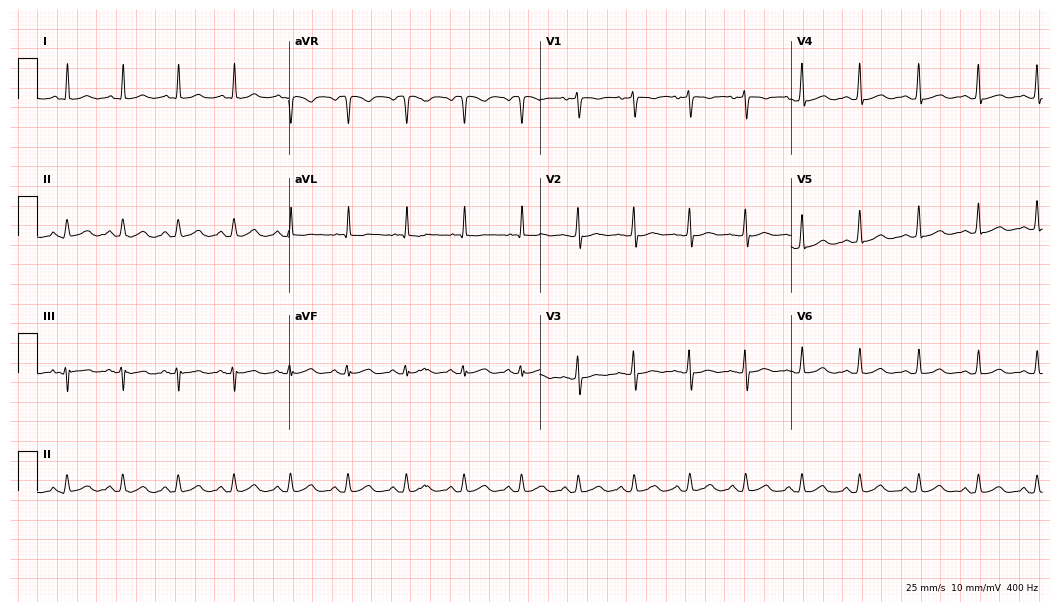
12-lead ECG (10.2-second recording at 400 Hz) from a 50-year-old woman. Findings include sinus tachycardia (a sinus rate of 100 beats per minute or more).